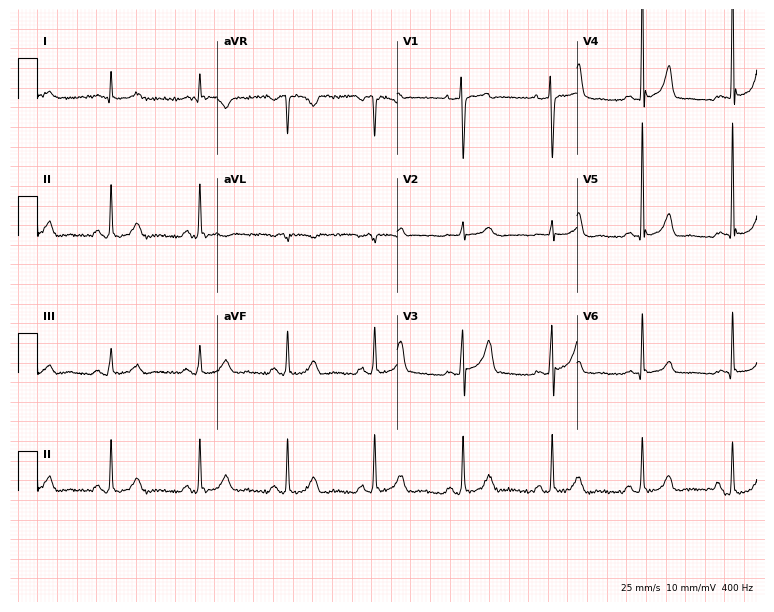
Electrocardiogram (7.3-second recording at 400 Hz), a man, 63 years old. Overall reading on record: normal ECG.